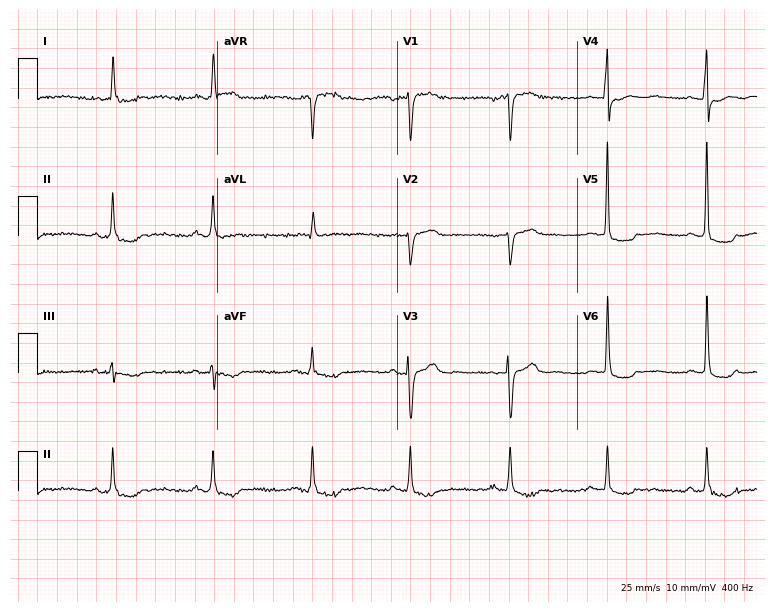
12-lead ECG (7.3-second recording at 400 Hz) from a 76-year-old female patient. Screened for six findings — first-degree AV block, right bundle branch block, left bundle branch block, sinus bradycardia, atrial fibrillation, sinus tachycardia — none is recorded. Other findings, if any, are not listed.